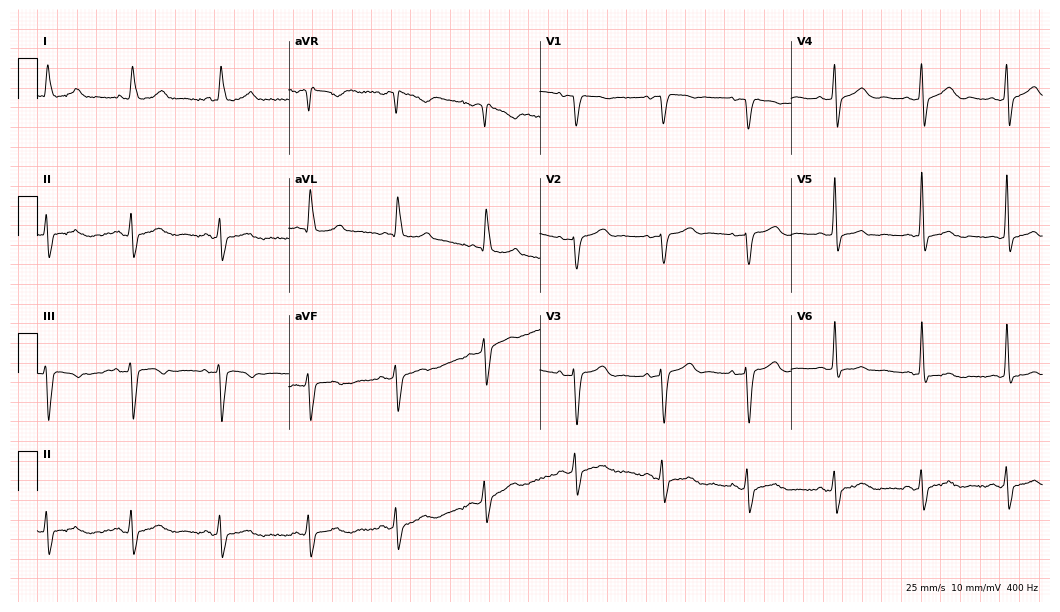
Resting 12-lead electrocardiogram. Patient: a woman, 78 years old. None of these six findings is recorded: first-degree AV block, right bundle branch block, left bundle branch block, sinus bradycardia, atrial fibrillation, sinus tachycardia.